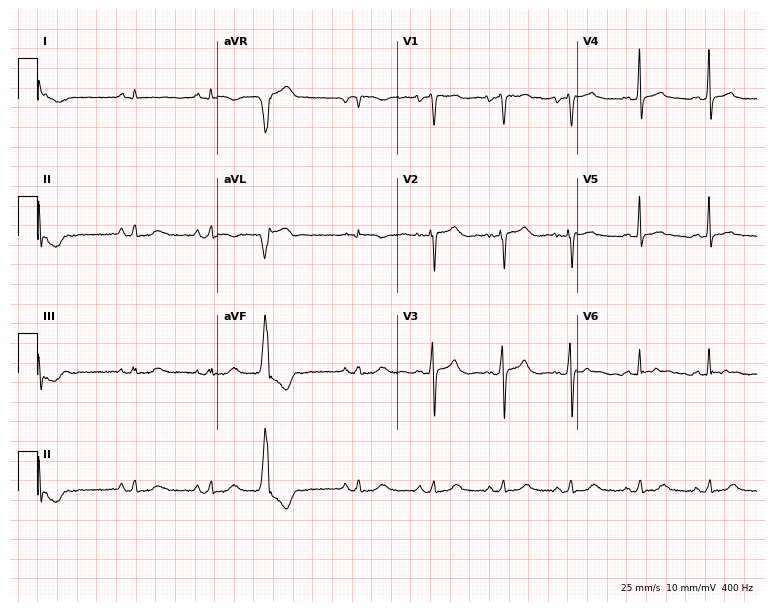
Resting 12-lead electrocardiogram. Patient: a female, 65 years old. None of these six findings is recorded: first-degree AV block, right bundle branch block, left bundle branch block, sinus bradycardia, atrial fibrillation, sinus tachycardia.